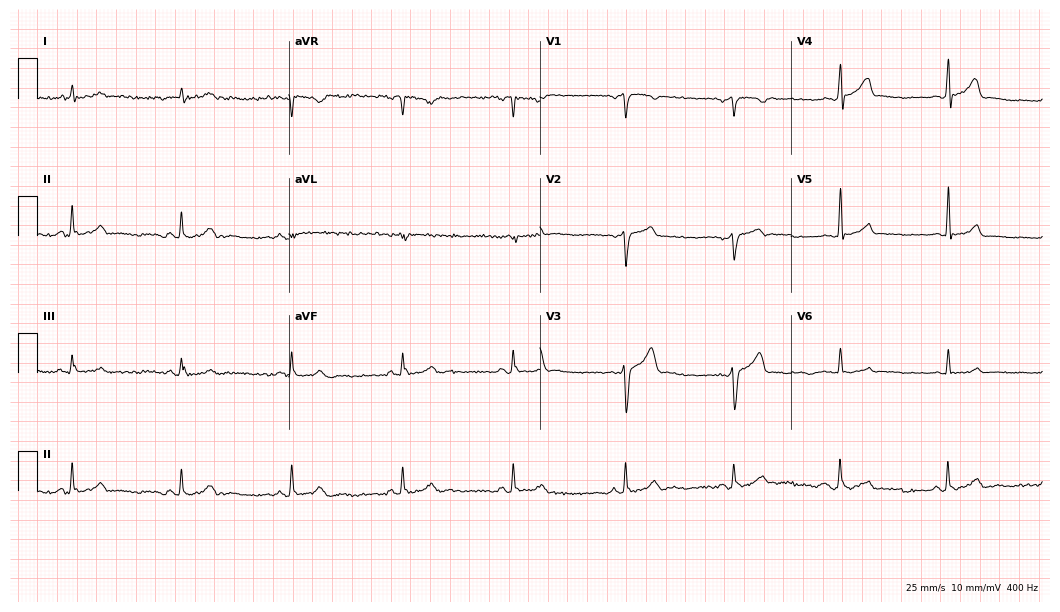
12-lead ECG (10.2-second recording at 400 Hz) from a man, 44 years old. Labelled as a normal ECG.